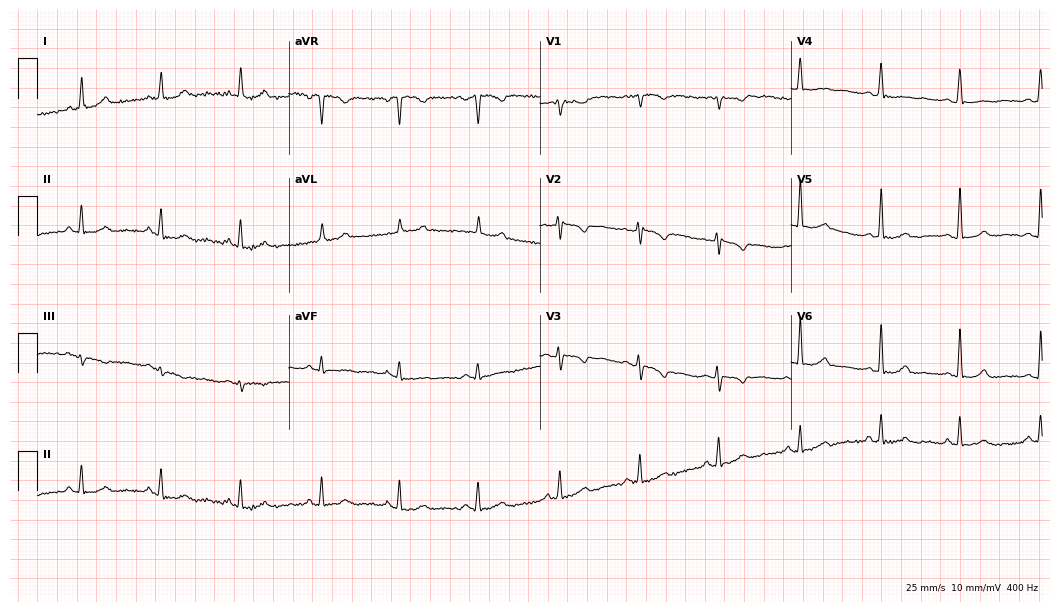
Standard 12-lead ECG recorded from a female, 49 years old. None of these six findings is recorded: first-degree AV block, right bundle branch block, left bundle branch block, sinus bradycardia, atrial fibrillation, sinus tachycardia. Other findings, if any, are not listed.